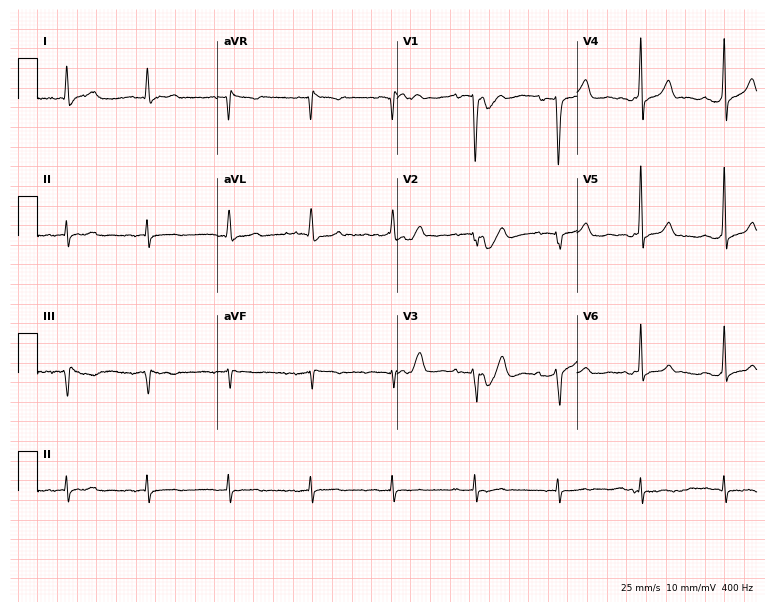
Electrocardiogram, a female patient, 63 years old. Of the six screened findings (first-degree AV block, right bundle branch block (RBBB), left bundle branch block (LBBB), sinus bradycardia, atrial fibrillation (AF), sinus tachycardia), none is recorded. Findings outside these six are not listed.